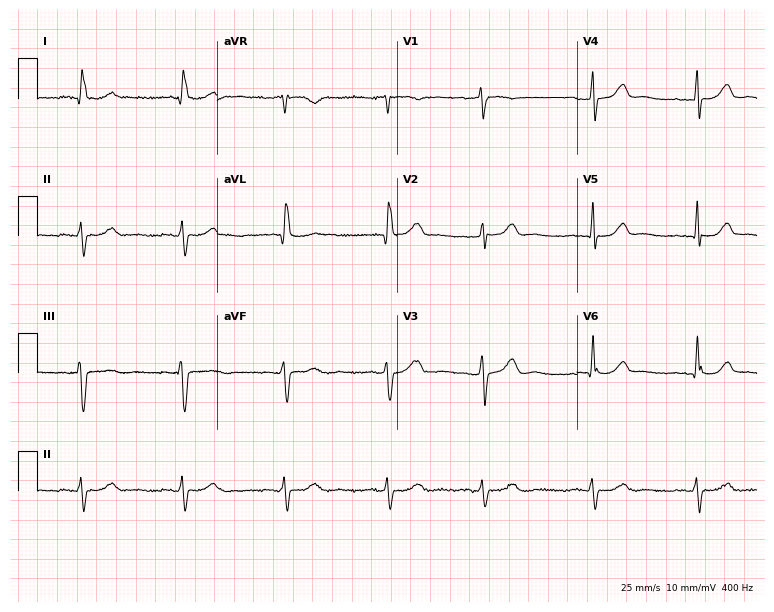
12-lead ECG from a male, 78 years old. No first-degree AV block, right bundle branch block (RBBB), left bundle branch block (LBBB), sinus bradycardia, atrial fibrillation (AF) or sinus tachycardia recorded for this tracing. Findings outside these six are not listed.